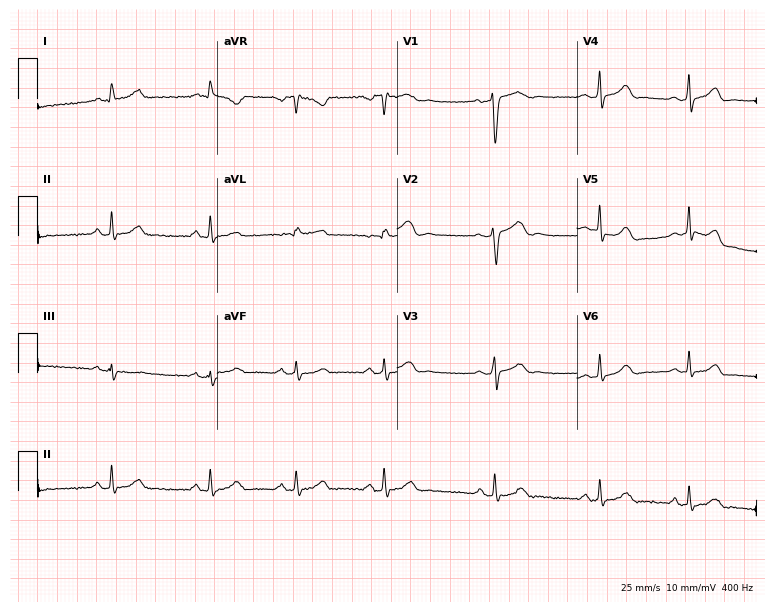
Standard 12-lead ECG recorded from a 26-year-old female (7.3-second recording at 400 Hz). None of these six findings is recorded: first-degree AV block, right bundle branch block, left bundle branch block, sinus bradycardia, atrial fibrillation, sinus tachycardia.